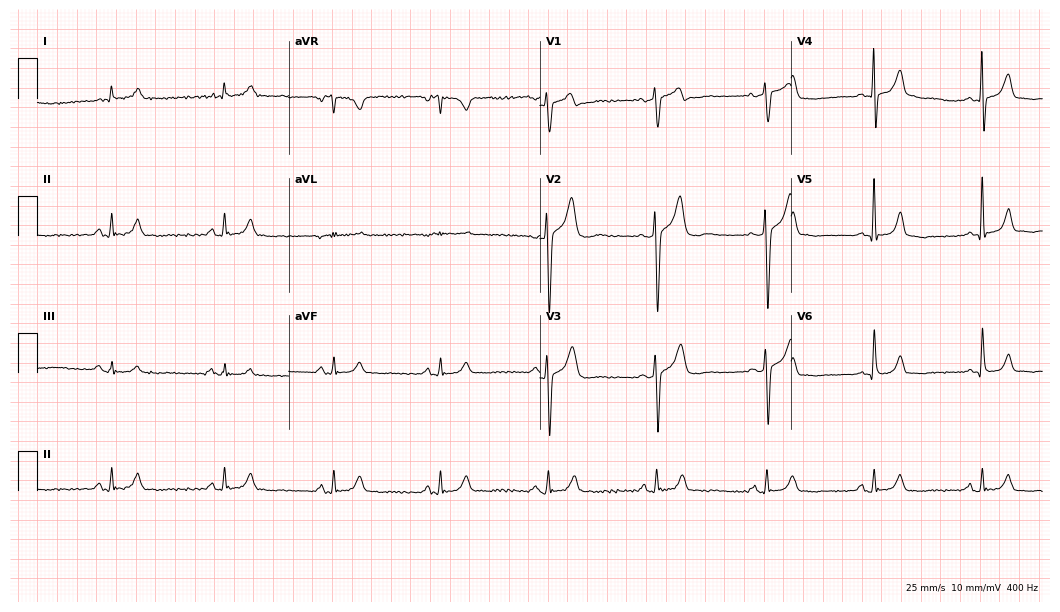
Resting 12-lead electrocardiogram. Patient: a 62-year-old male. None of these six findings is recorded: first-degree AV block, right bundle branch block (RBBB), left bundle branch block (LBBB), sinus bradycardia, atrial fibrillation (AF), sinus tachycardia. Only these six findings were labelled.